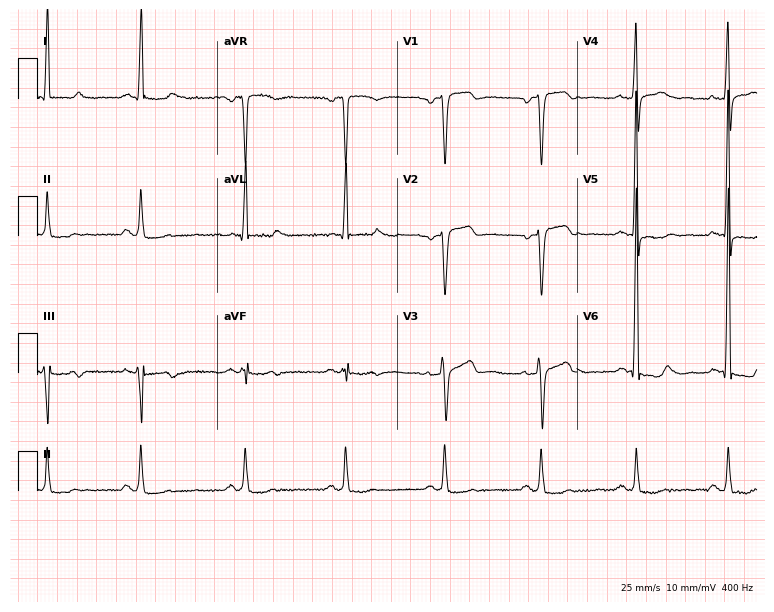
Electrocardiogram, a man, 59 years old. Of the six screened findings (first-degree AV block, right bundle branch block, left bundle branch block, sinus bradycardia, atrial fibrillation, sinus tachycardia), none is recorded. Findings outside these six are not listed.